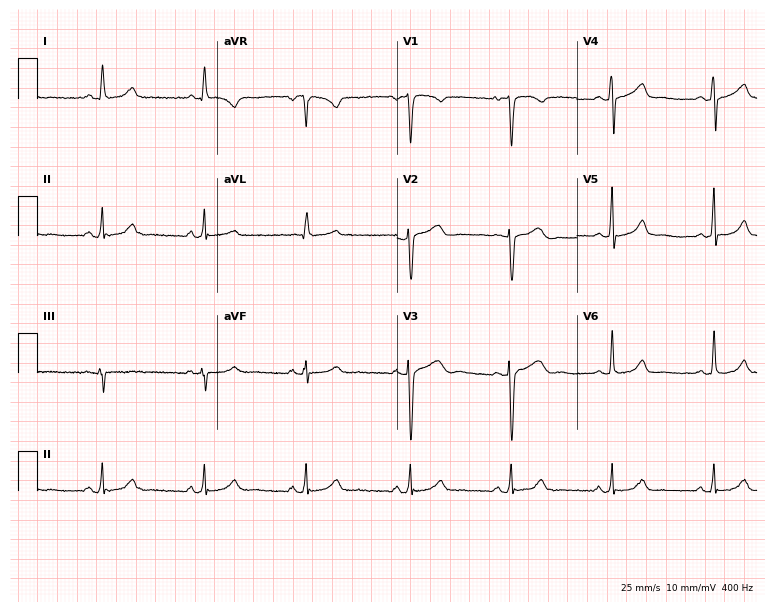
Electrocardiogram (7.3-second recording at 400 Hz), a woman, 37 years old. Of the six screened findings (first-degree AV block, right bundle branch block, left bundle branch block, sinus bradycardia, atrial fibrillation, sinus tachycardia), none is recorded. Only these six findings were labelled.